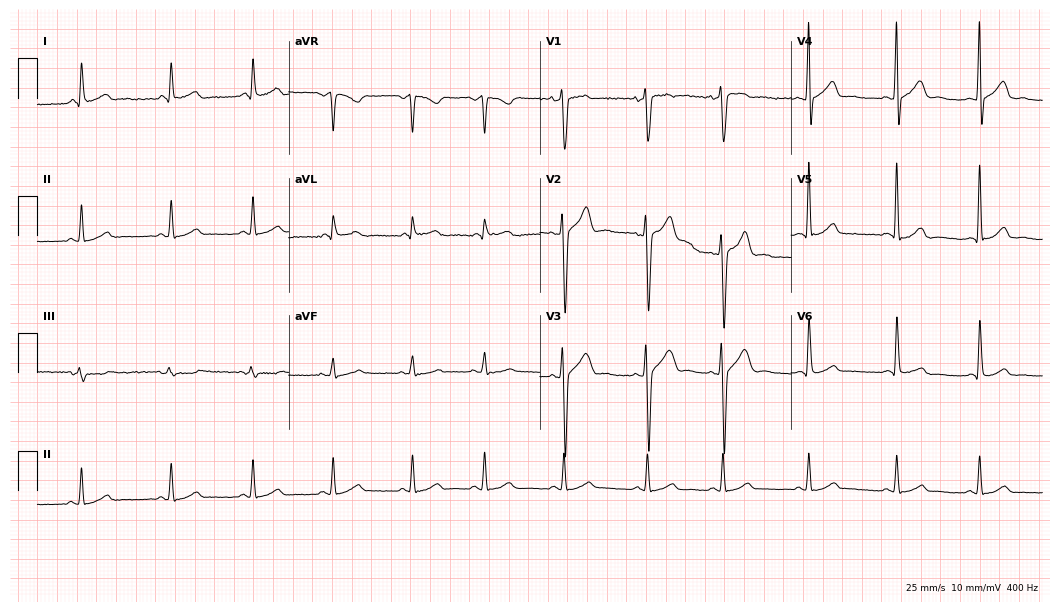
12-lead ECG from a man, 43 years old (10.2-second recording at 400 Hz). Recorded interpretation: within normal limits.